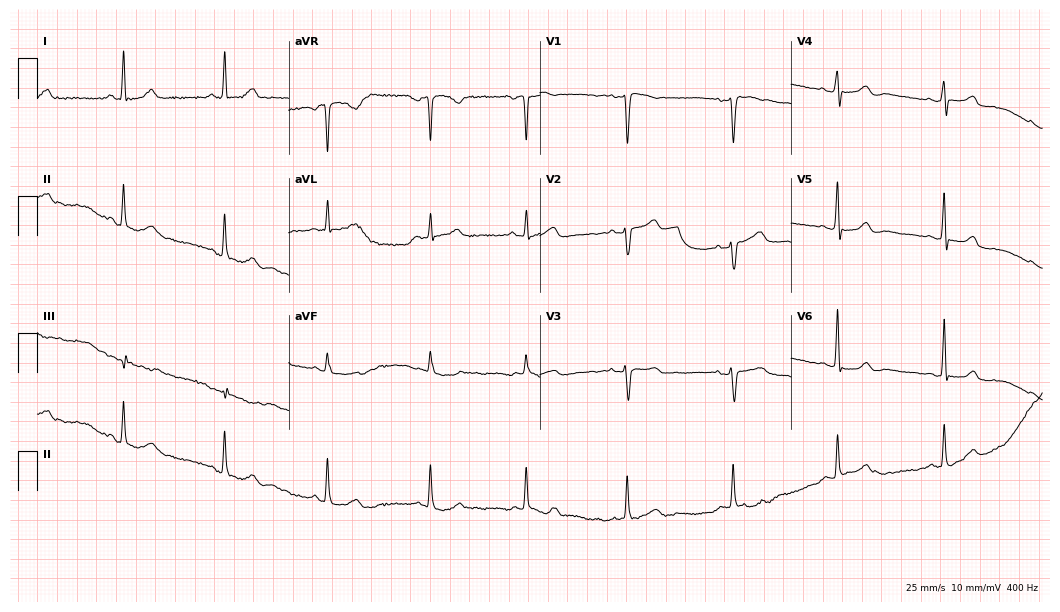
12-lead ECG (10.2-second recording at 400 Hz) from a female, 52 years old. Screened for six findings — first-degree AV block, right bundle branch block, left bundle branch block, sinus bradycardia, atrial fibrillation, sinus tachycardia — none is recorded.